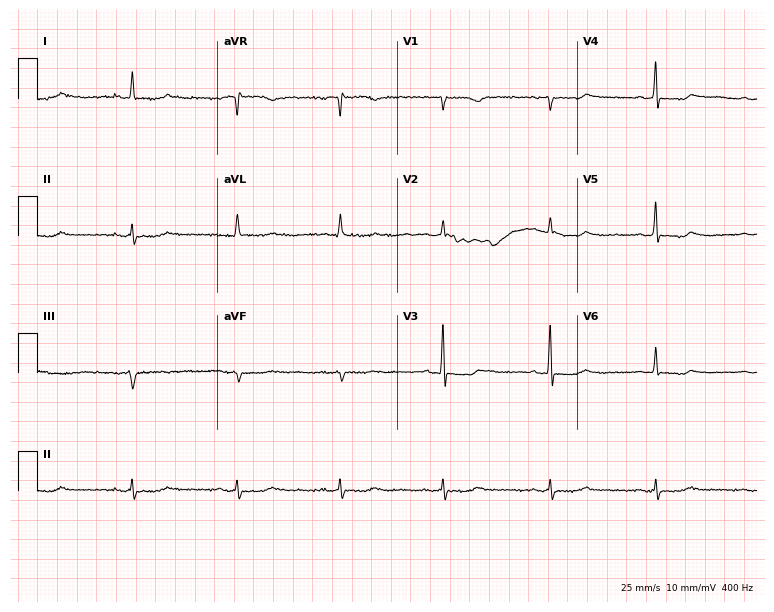
Resting 12-lead electrocardiogram (7.3-second recording at 400 Hz). Patient: a male, 67 years old. None of these six findings is recorded: first-degree AV block, right bundle branch block, left bundle branch block, sinus bradycardia, atrial fibrillation, sinus tachycardia. Other findings, if any, are not listed.